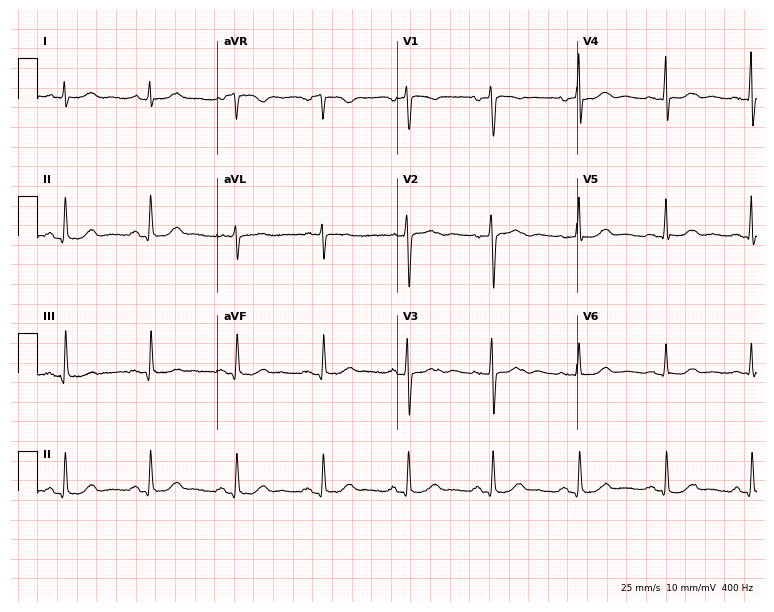
Resting 12-lead electrocardiogram. Patient: a woman, 73 years old. Read as a normal ECG.